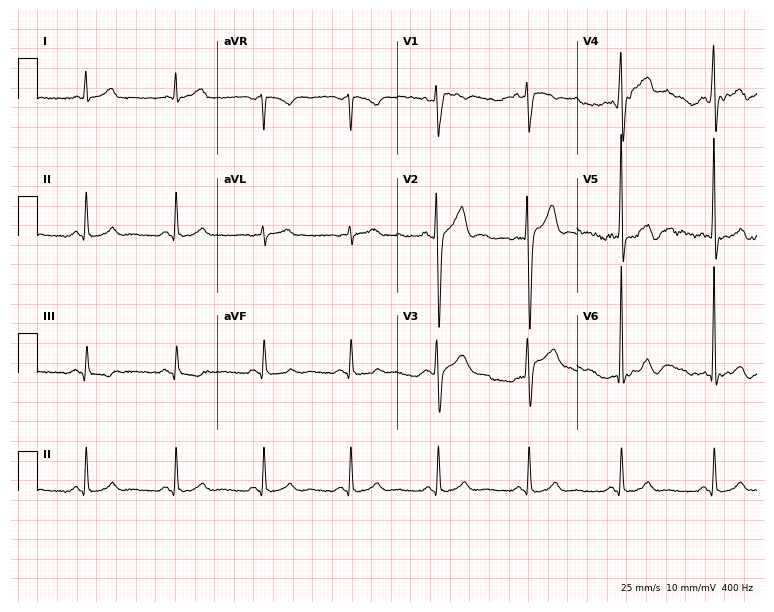
ECG (7.3-second recording at 400 Hz) — a 32-year-old male. Labelled as a normal ECG.